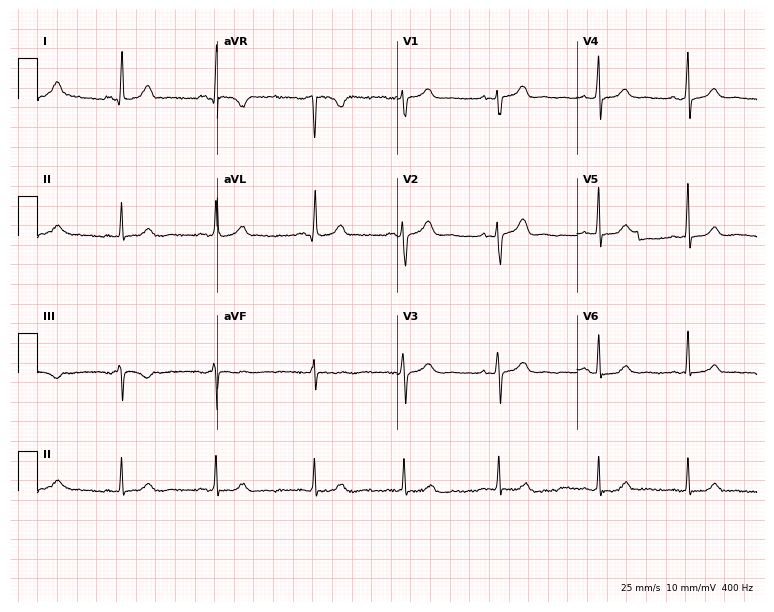
12-lead ECG from a 29-year-old female patient. Screened for six findings — first-degree AV block, right bundle branch block, left bundle branch block, sinus bradycardia, atrial fibrillation, sinus tachycardia — none is recorded. Other findings, if any, are not listed.